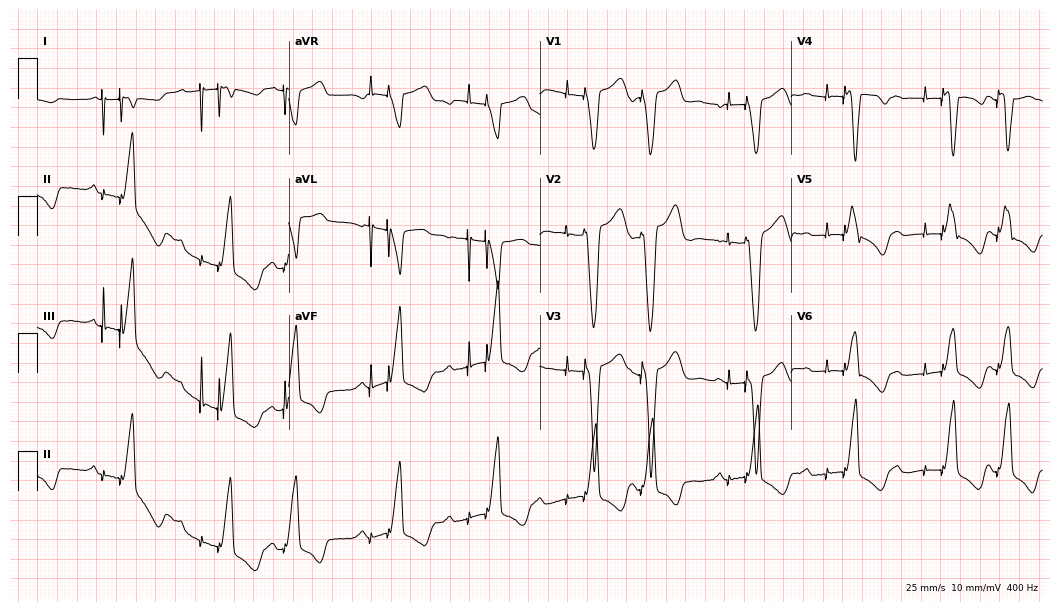
12-lead ECG from a woman, 74 years old (10.2-second recording at 400 Hz). No first-degree AV block, right bundle branch block (RBBB), left bundle branch block (LBBB), sinus bradycardia, atrial fibrillation (AF) or sinus tachycardia recorded for this tracing. Findings outside these six are not listed.